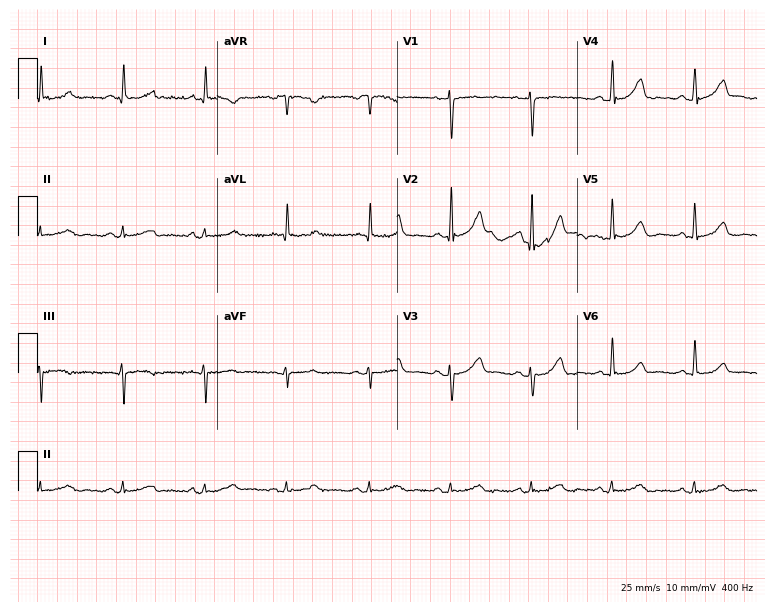
Standard 12-lead ECG recorded from a 48-year-old female patient. Read as a normal ECG.